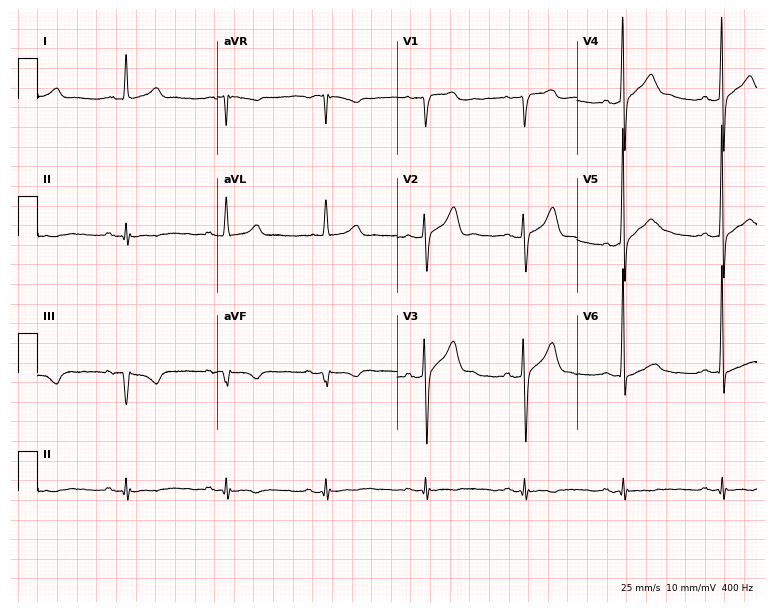
Resting 12-lead electrocardiogram. Patient: a 76-year-old male. None of these six findings is recorded: first-degree AV block, right bundle branch block, left bundle branch block, sinus bradycardia, atrial fibrillation, sinus tachycardia. Findings outside these six are not listed.